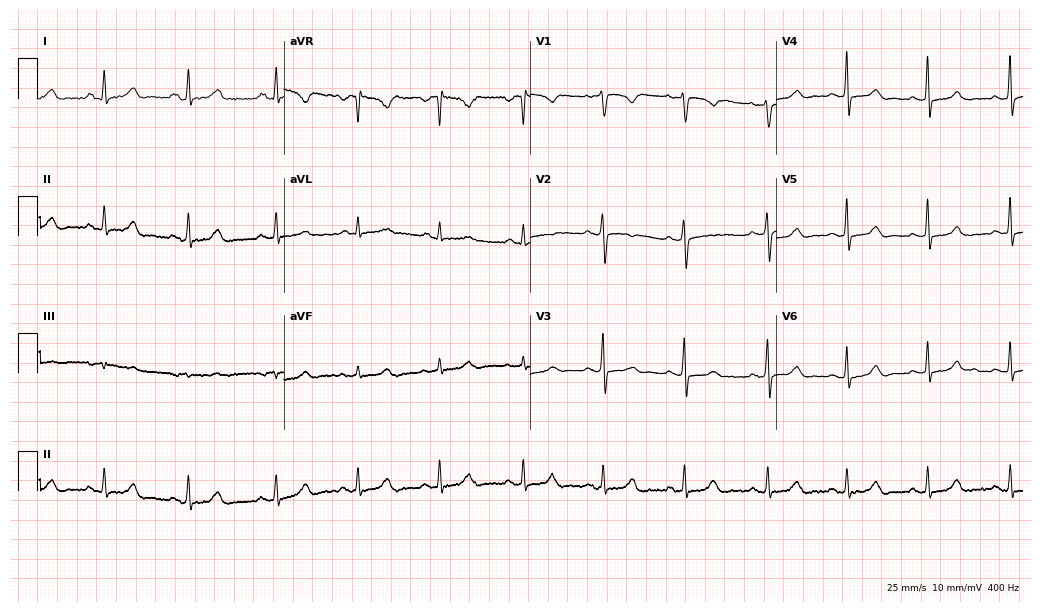
12-lead ECG from a 46-year-old female. Recorded interpretation: within normal limits.